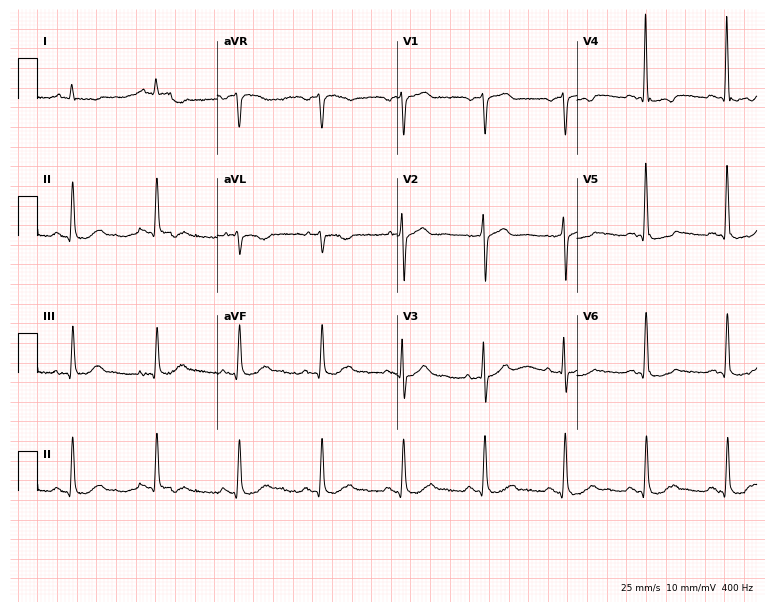
12-lead ECG from an 82-year-old male (7.3-second recording at 400 Hz). No first-degree AV block, right bundle branch block, left bundle branch block, sinus bradycardia, atrial fibrillation or sinus tachycardia recorded for this tracing. Findings outside these six are not listed.